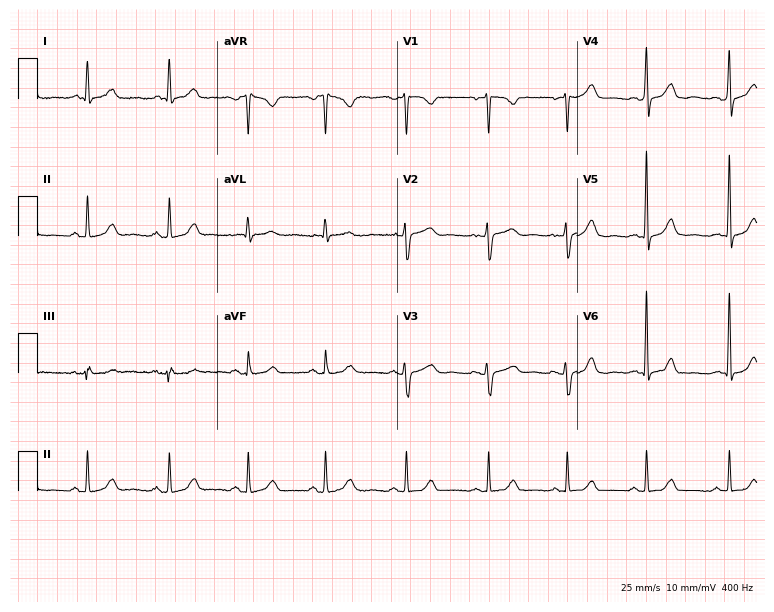
12-lead ECG from a female, 44 years old. Recorded interpretation: within normal limits.